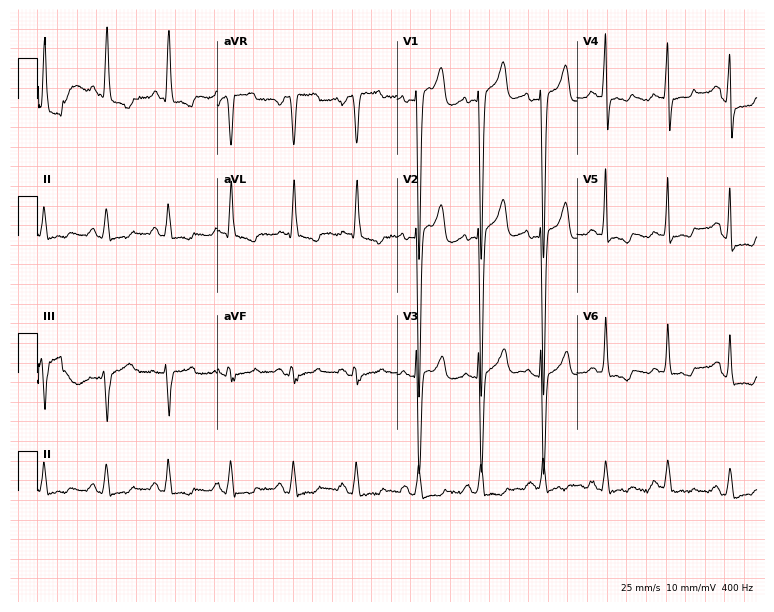
Resting 12-lead electrocardiogram (7.3-second recording at 400 Hz). Patient: a 63-year-old female. None of these six findings is recorded: first-degree AV block, right bundle branch block, left bundle branch block, sinus bradycardia, atrial fibrillation, sinus tachycardia. Findings outside these six are not listed.